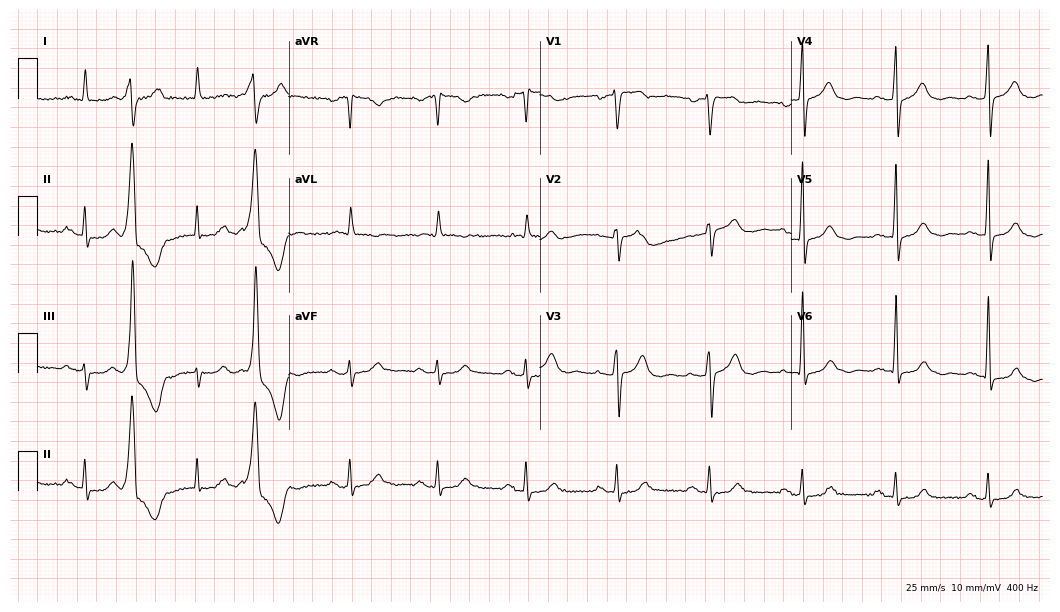
12-lead ECG (10.2-second recording at 400 Hz) from a 77-year-old man. Screened for six findings — first-degree AV block, right bundle branch block (RBBB), left bundle branch block (LBBB), sinus bradycardia, atrial fibrillation (AF), sinus tachycardia — none is recorded.